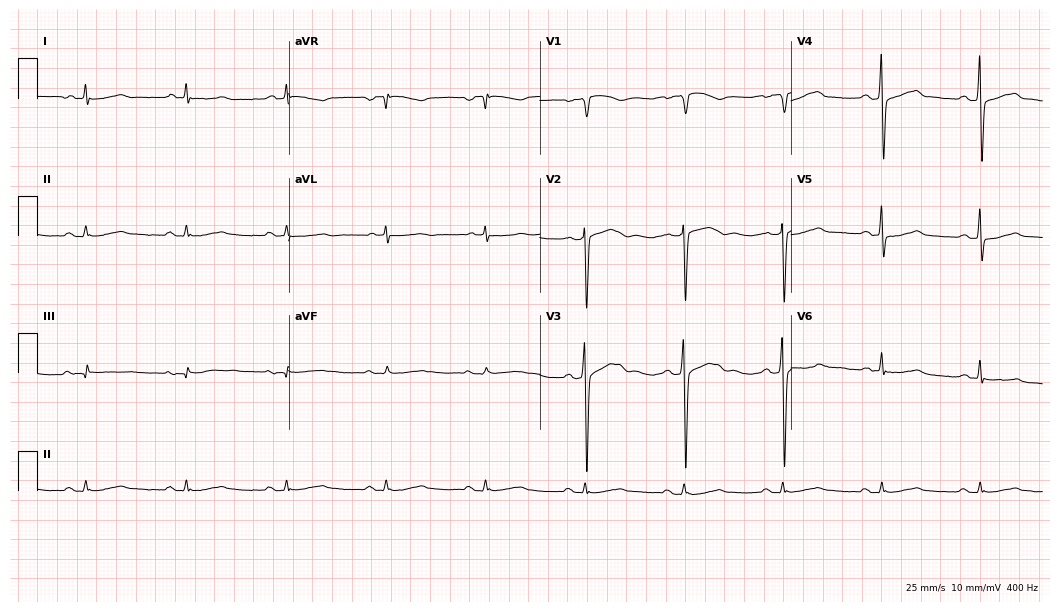
12-lead ECG from a 77-year-old man (10.2-second recording at 400 Hz). No first-degree AV block, right bundle branch block, left bundle branch block, sinus bradycardia, atrial fibrillation or sinus tachycardia recorded for this tracing. Only these six findings were labelled.